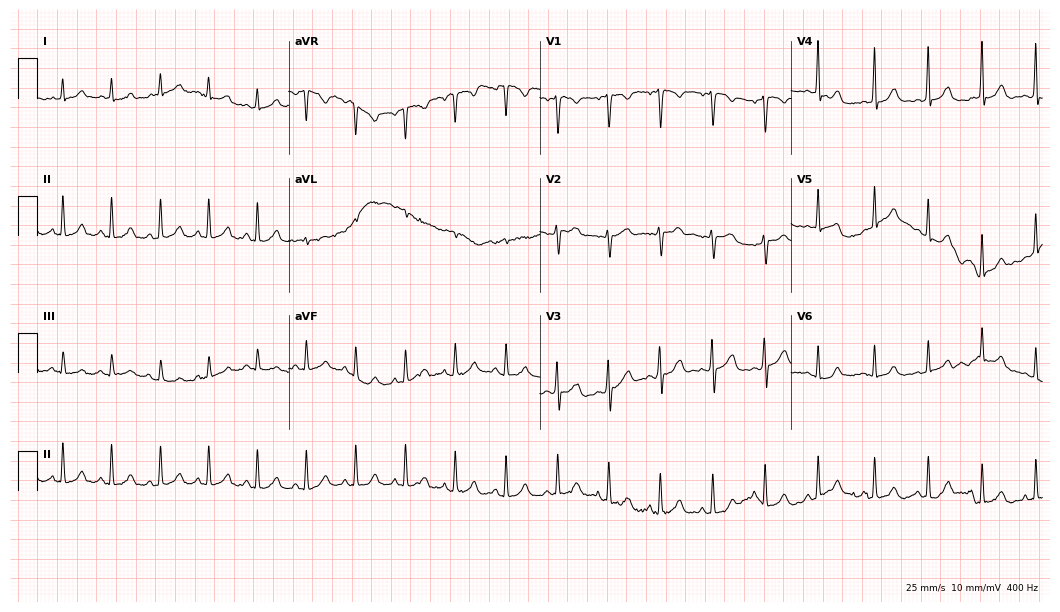
Resting 12-lead electrocardiogram (10.2-second recording at 400 Hz). Patient: a female, 22 years old. The tracing shows sinus tachycardia (a sinus rate of 100 beats per minute or more).